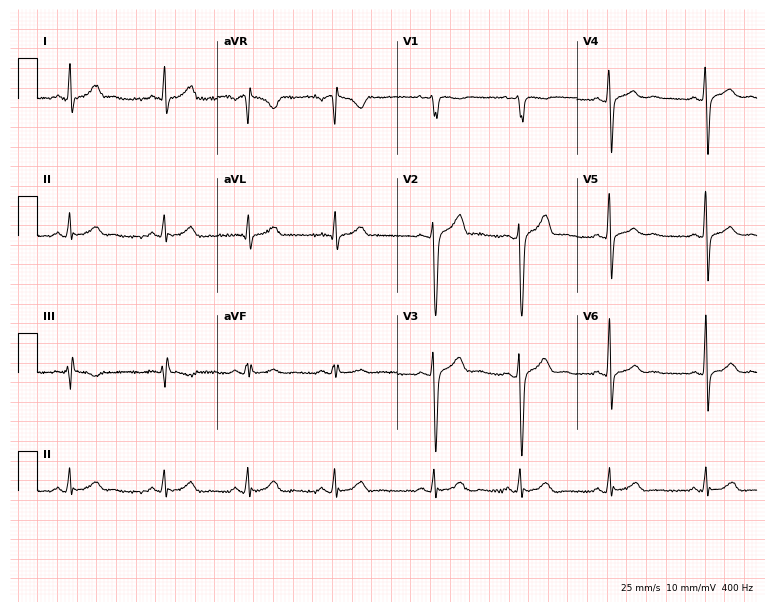
Resting 12-lead electrocardiogram. Patient: a male, 28 years old. Read as a normal ECG.